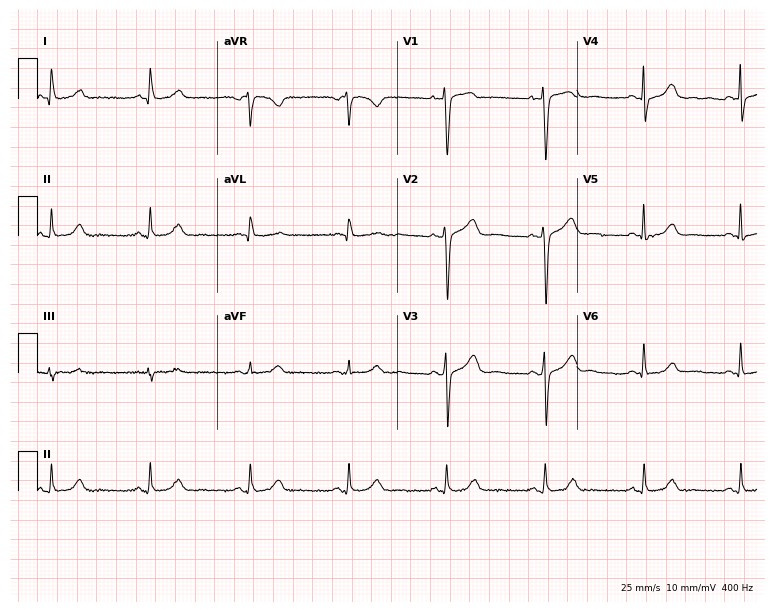
12-lead ECG (7.3-second recording at 400 Hz) from a woman, 48 years old. Labelled as a normal ECG.